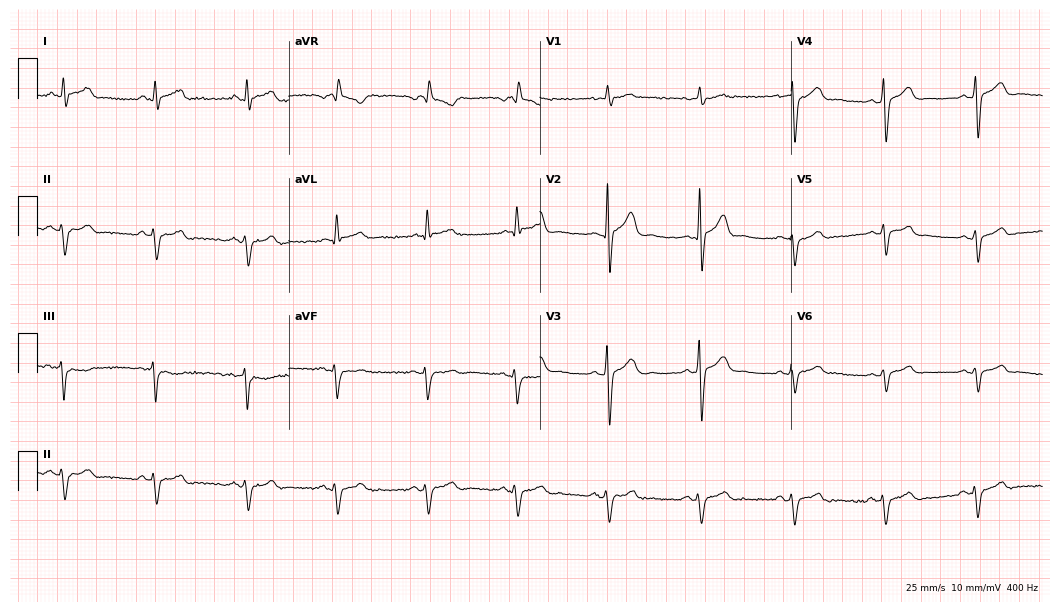
12-lead ECG (10.2-second recording at 400 Hz) from a 56-year-old male. Screened for six findings — first-degree AV block, right bundle branch block, left bundle branch block, sinus bradycardia, atrial fibrillation, sinus tachycardia — none is recorded. Findings outside these six are not listed.